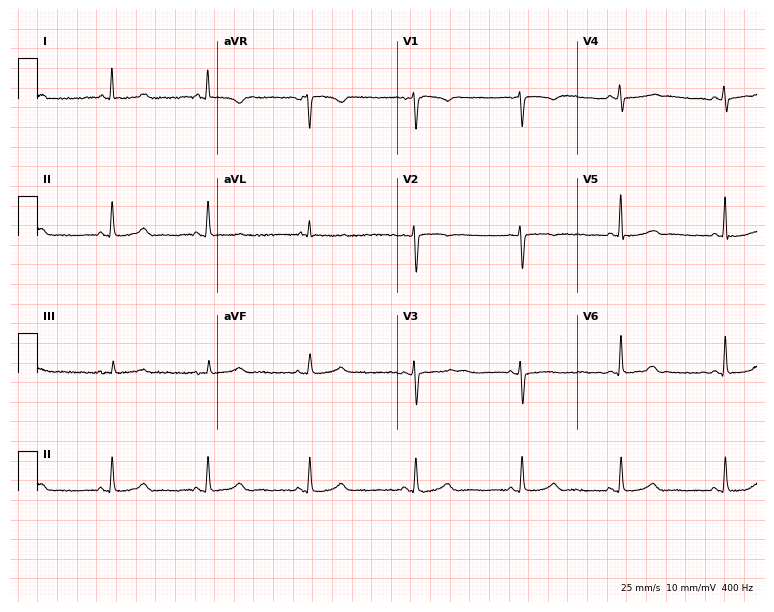
12-lead ECG from a 39-year-old female patient. No first-degree AV block, right bundle branch block, left bundle branch block, sinus bradycardia, atrial fibrillation or sinus tachycardia recorded for this tracing. Findings outside these six are not listed.